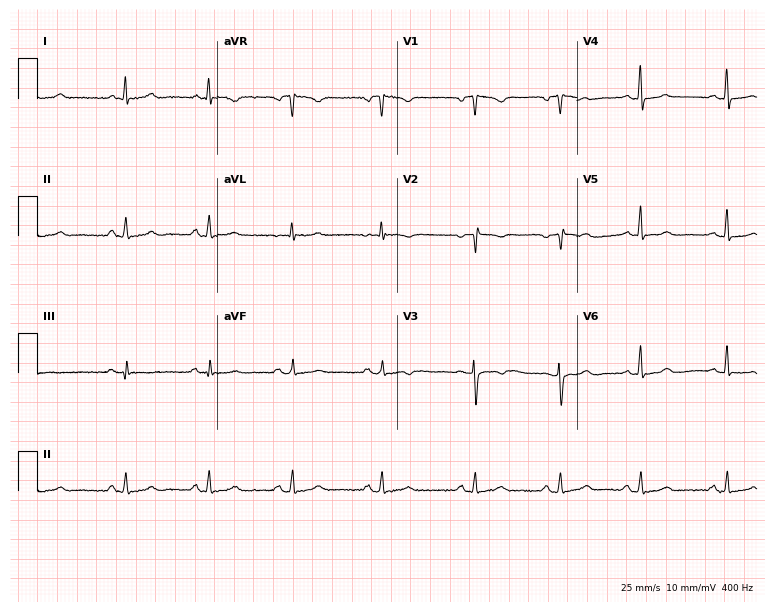
12-lead ECG (7.3-second recording at 400 Hz) from a 39-year-old female patient. Screened for six findings — first-degree AV block, right bundle branch block, left bundle branch block, sinus bradycardia, atrial fibrillation, sinus tachycardia — none is recorded.